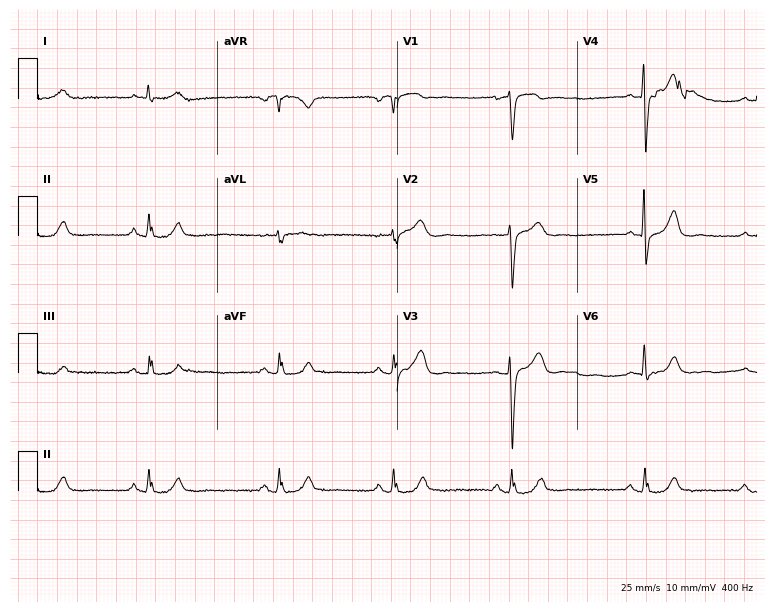
12-lead ECG (7.3-second recording at 400 Hz) from a 62-year-old man. Findings include sinus bradycardia (a sinus rate of 50 beats per minute or less).